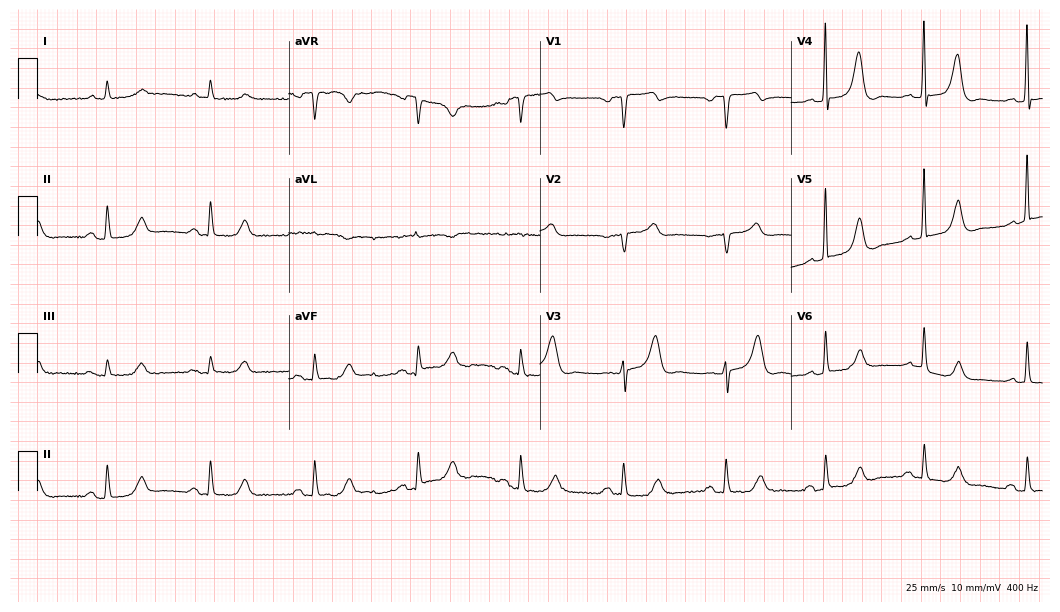
12-lead ECG from a 77-year-old female patient. No first-degree AV block, right bundle branch block, left bundle branch block, sinus bradycardia, atrial fibrillation or sinus tachycardia recorded for this tracing. Findings outside these six are not listed.